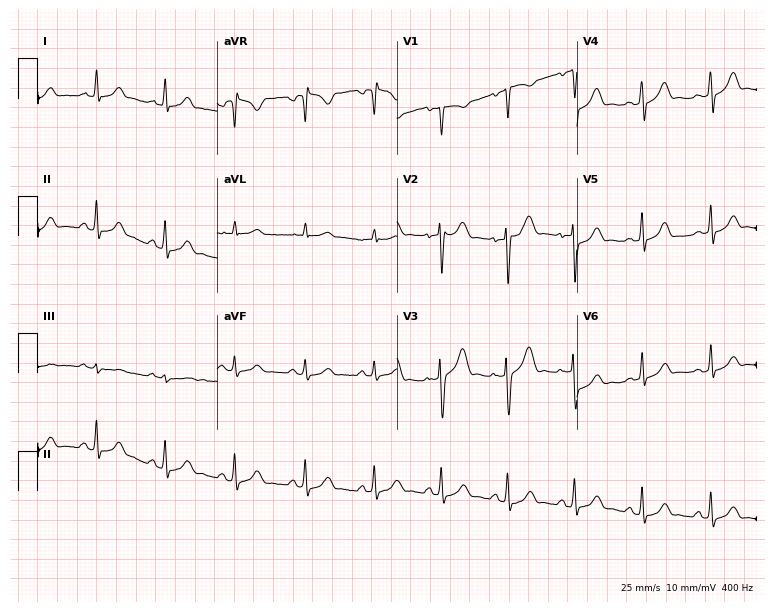
Standard 12-lead ECG recorded from a 22-year-old female (7.3-second recording at 400 Hz). None of these six findings is recorded: first-degree AV block, right bundle branch block, left bundle branch block, sinus bradycardia, atrial fibrillation, sinus tachycardia.